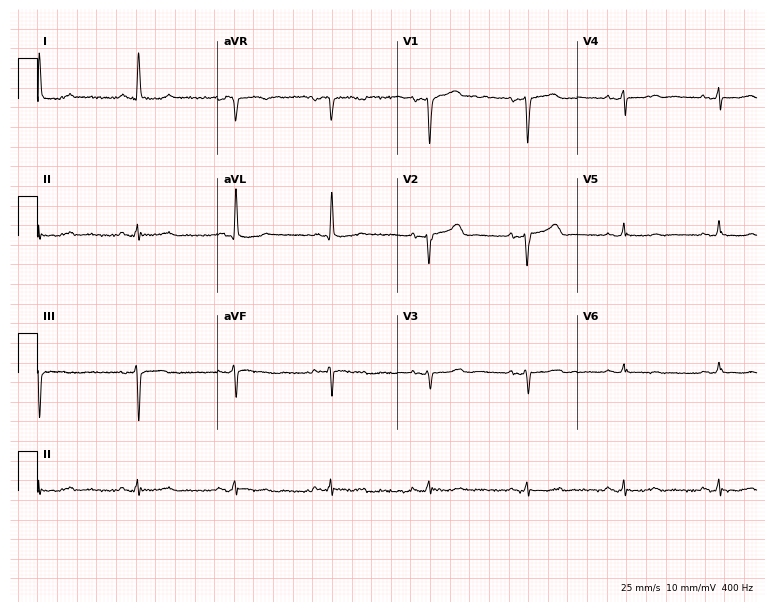
Standard 12-lead ECG recorded from a woman, 69 years old (7.3-second recording at 400 Hz). None of these six findings is recorded: first-degree AV block, right bundle branch block (RBBB), left bundle branch block (LBBB), sinus bradycardia, atrial fibrillation (AF), sinus tachycardia.